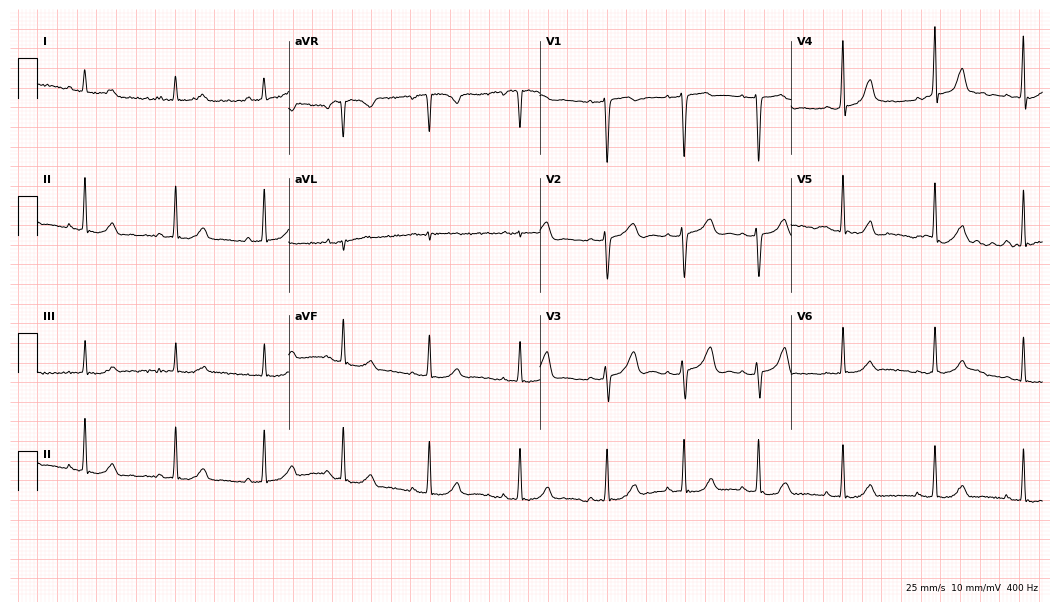
12-lead ECG from a female patient, 26 years old (10.2-second recording at 400 Hz). No first-degree AV block, right bundle branch block, left bundle branch block, sinus bradycardia, atrial fibrillation or sinus tachycardia recorded for this tracing.